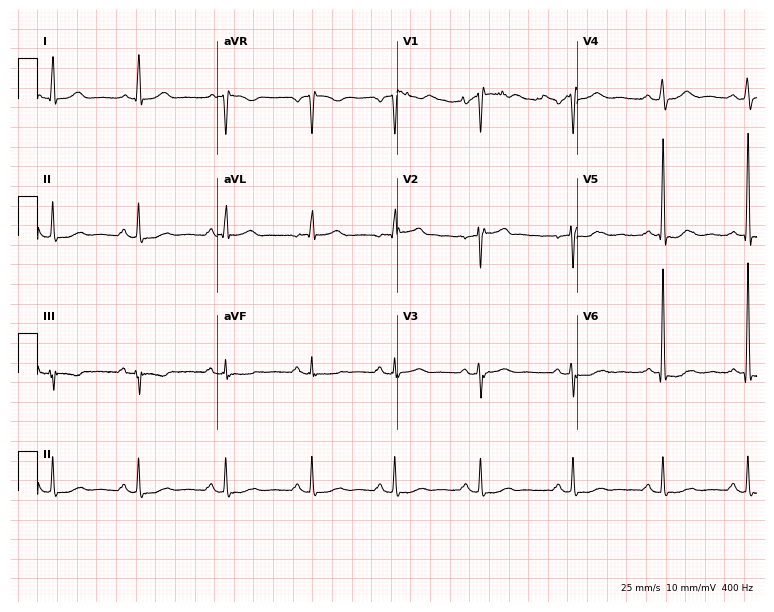
Electrocardiogram, a female patient, 73 years old. Of the six screened findings (first-degree AV block, right bundle branch block (RBBB), left bundle branch block (LBBB), sinus bradycardia, atrial fibrillation (AF), sinus tachycardia), none is recorded. Only these six findings were labelled.